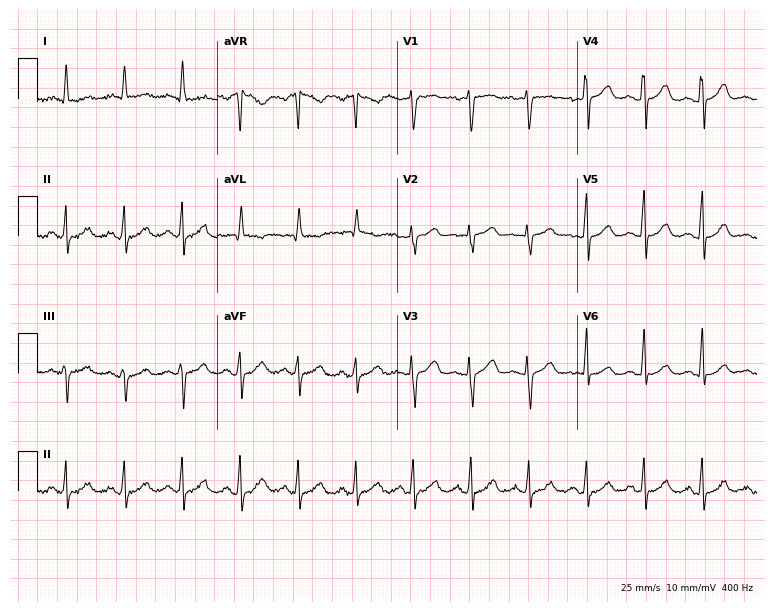
Standard 12-lead ECG recorded from a female patient, 59 years old (7.3-second recording at 400 Hz). The tracing shows sinus tachycardia (a sinus rate of 100 beats per minute or more).